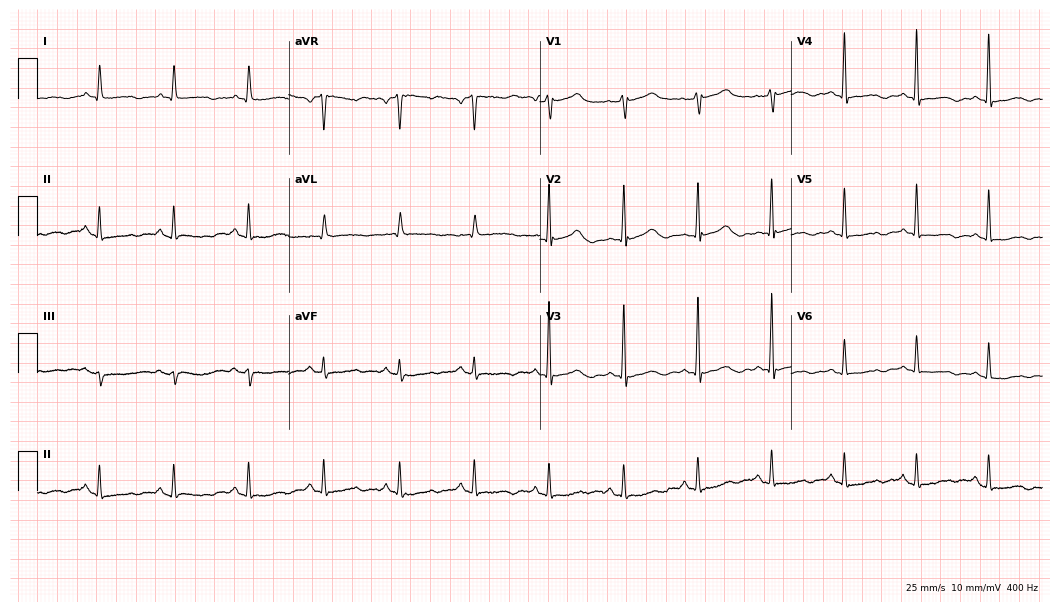
ECG — a 75-year-old female. Screened for six findings — first-degree AV block, right bundle branch block (RBBB), left bundle branch block (LBBB), sinus bradycardia, atrial fibrillation (AF), sinus tachycardia — none is recorded. Only these six findings were labelled.